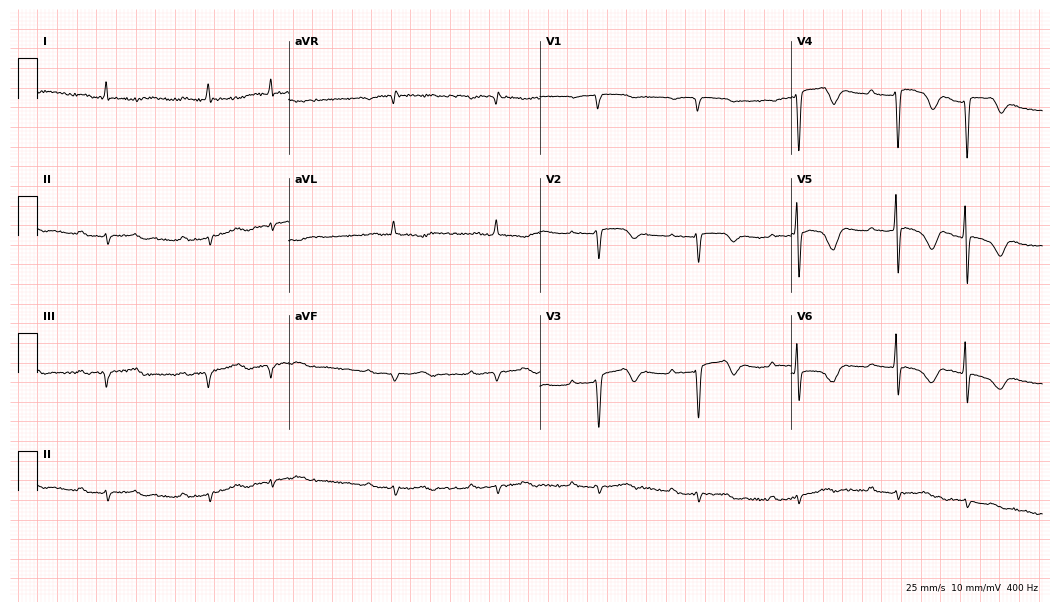
12-lead ECG from a man, 75 years old (10.2-second recording at 400 Hz). Shows first-degree AV block.